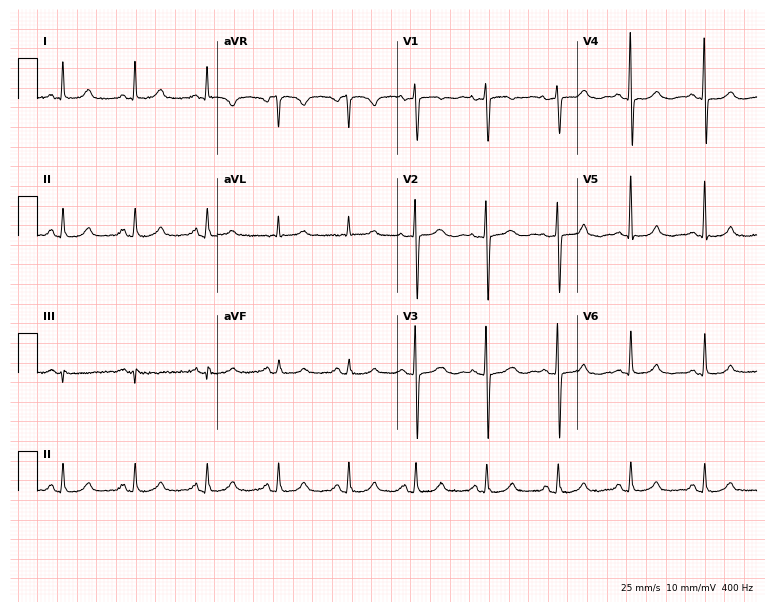
Electrocardiogram, a female, 72 years old. Of the six screened findings (first-degree AV block, right bundle branch block, left bundle branch block, sinus bradycardia, atrial fibrillation, sinus tachycardia), none is recorded.